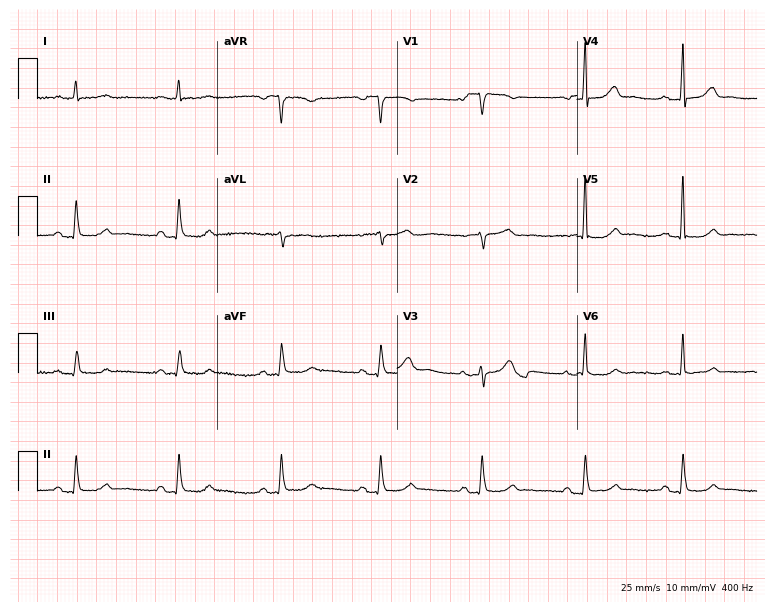
Standard 12-lead ECG recorded from a 77-year-old male patient. Read as a normal ECG.